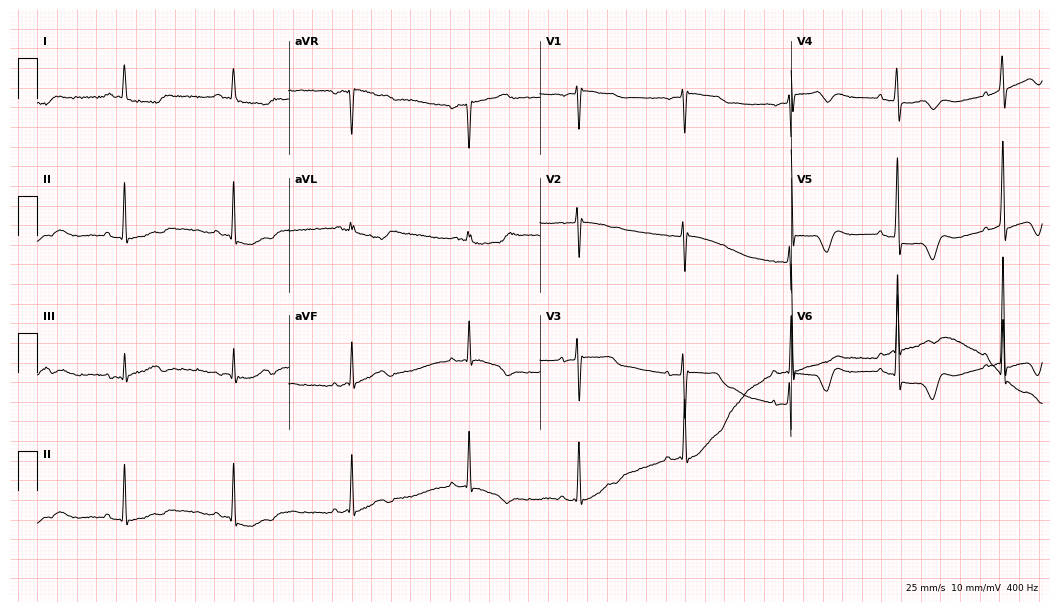
Electrocardiogram, a female patient, 78 years old. Of the six screened findings (first-degree AV block, right bundle branch block, left bundle branch block, sinus bradycardia, atrial fibrillation, sinus tachycardia), none is recorded. Only these six findings were labelled.